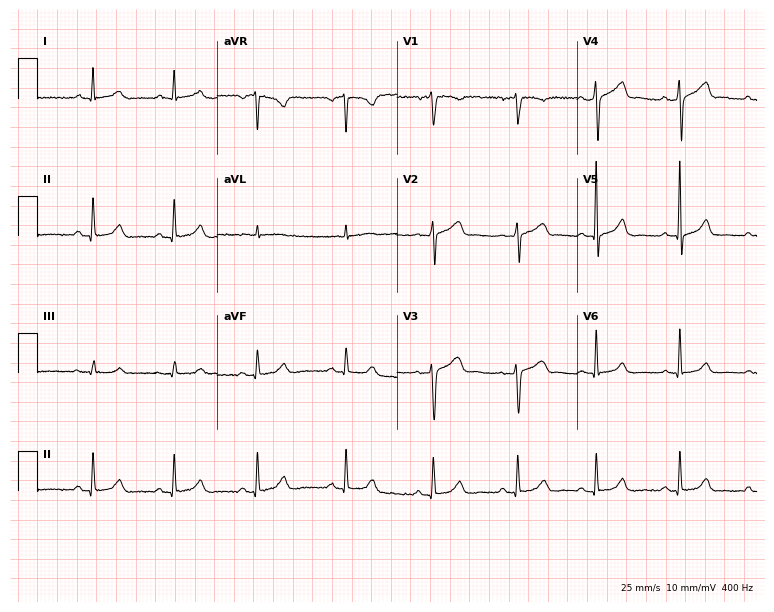
12-lead ECG (7.3-second recording at 400 Hz) from a 61-year-old male patient. Labelled as a normal ECG.